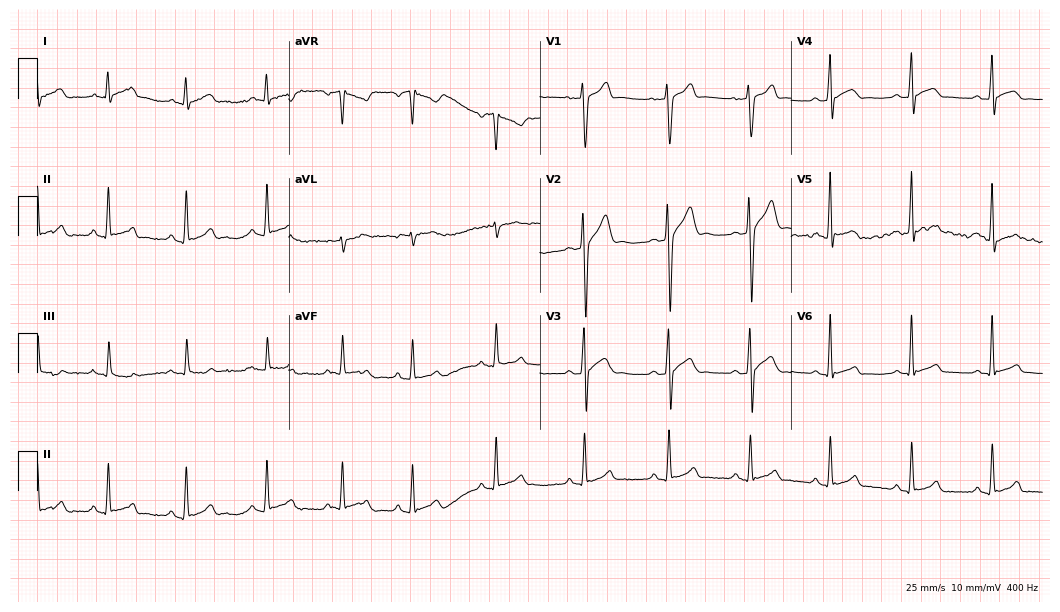
Electrocardiogram, a male, 27 years old. Of the six screened findings (first-degree AV block, right bundle branch block, left bundle branch block, sinus bradycardia, atrial fibrillation, sinus tachycardia), none is recorded.